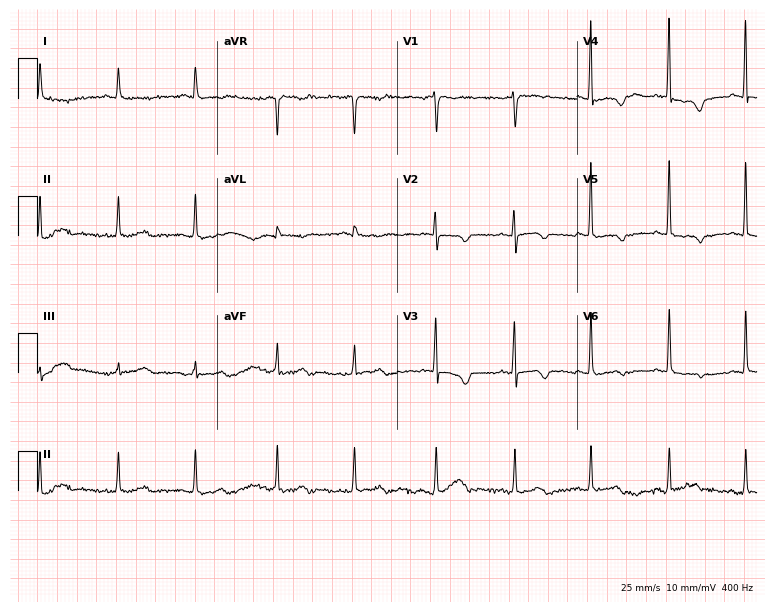
12-lead ECG from an 84-year-old woman. Screened for six findings — first-degree AV block, right bundle branch block, left bundle branch block, sinus bradycardia, atrial fibrillation, sinus tachycardia — none is recorded. Findings outside these six are not listed.